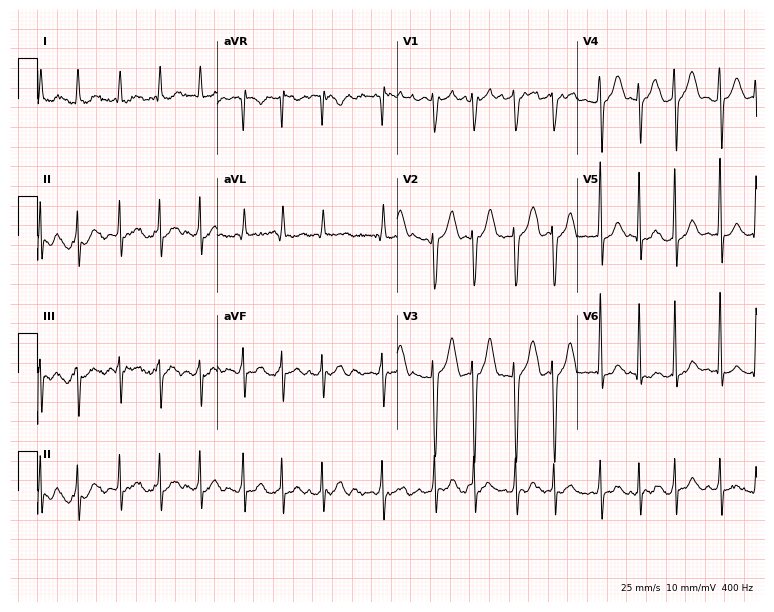
12-lead ECG from a woman, 45 years old (7.3-second recording at 400 Hz). Shows atrial fibrillation.